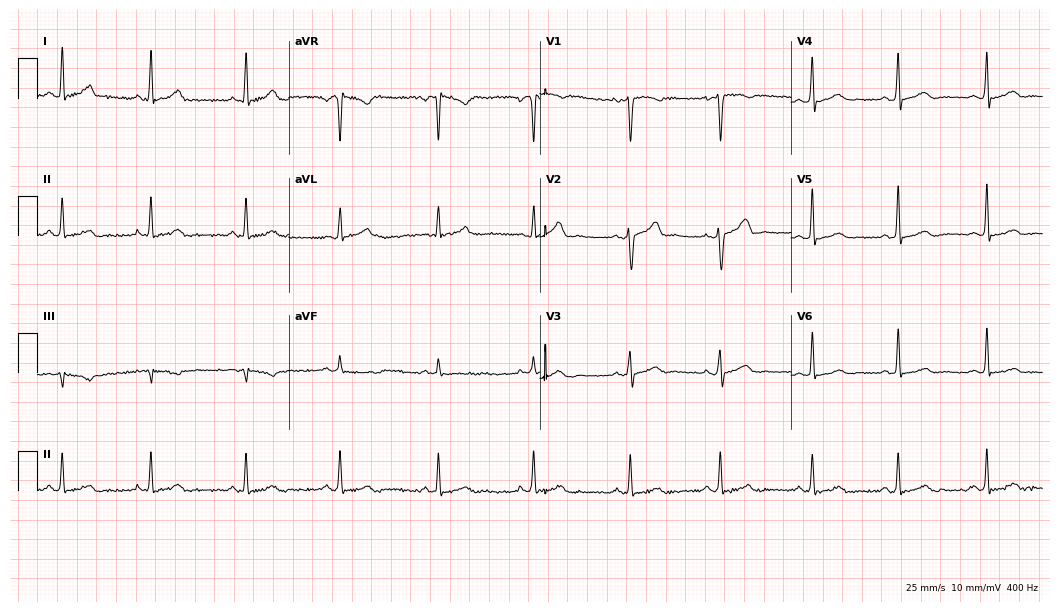
Electrocardiogram, a 29-year-old male. Overall reading on record: normal ECG.